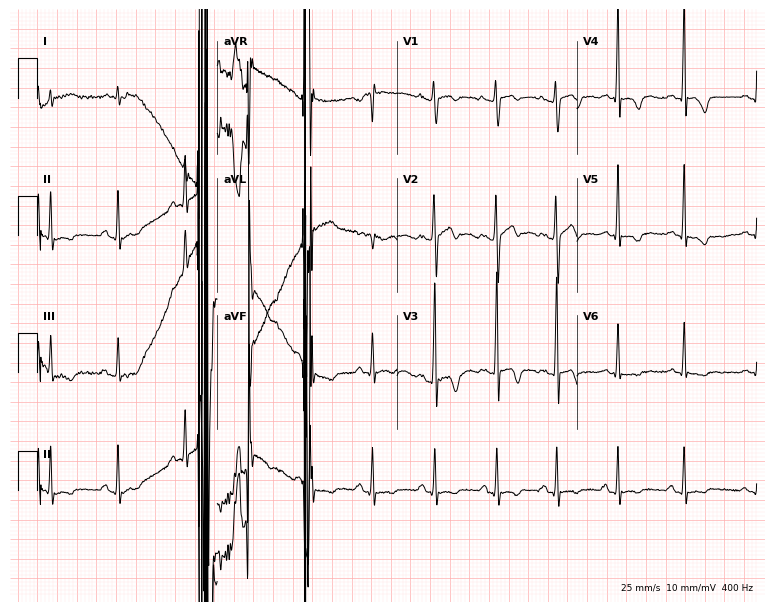
12-lead ECG from a 19-year-old man (7.3-second recording at 400 Hz). No first-degree AV block, right bundle branch block, left bundle branch block, sinus bradycardia, atrial fibrillation or sinus tachycardia recorded for this tracing.